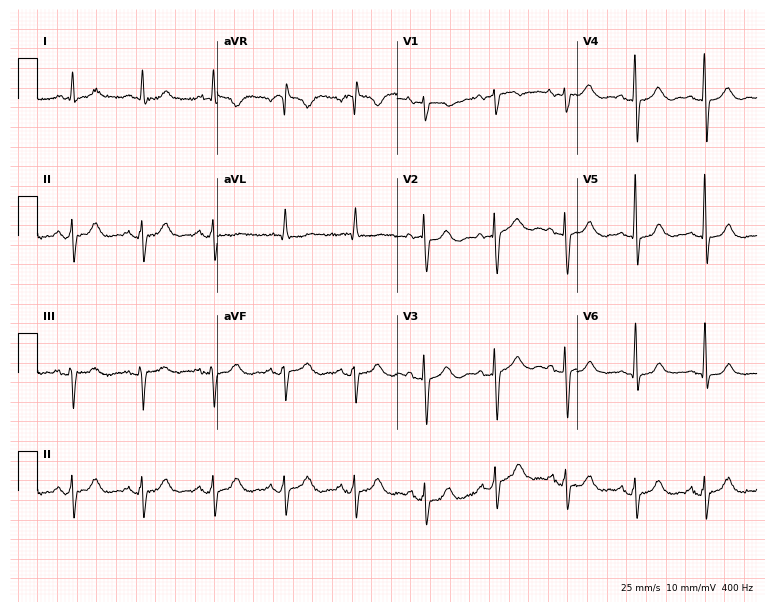
12-lead ECG from a 58-year-old female (7.3-second recording at 400 Hz). No first-degree AV block, right bundle branch block, left bundle branch block, sinus bradycardia, atrial fibrillation or sinus tachycardia recorded for this tracing. Findings outside these six are not listed.